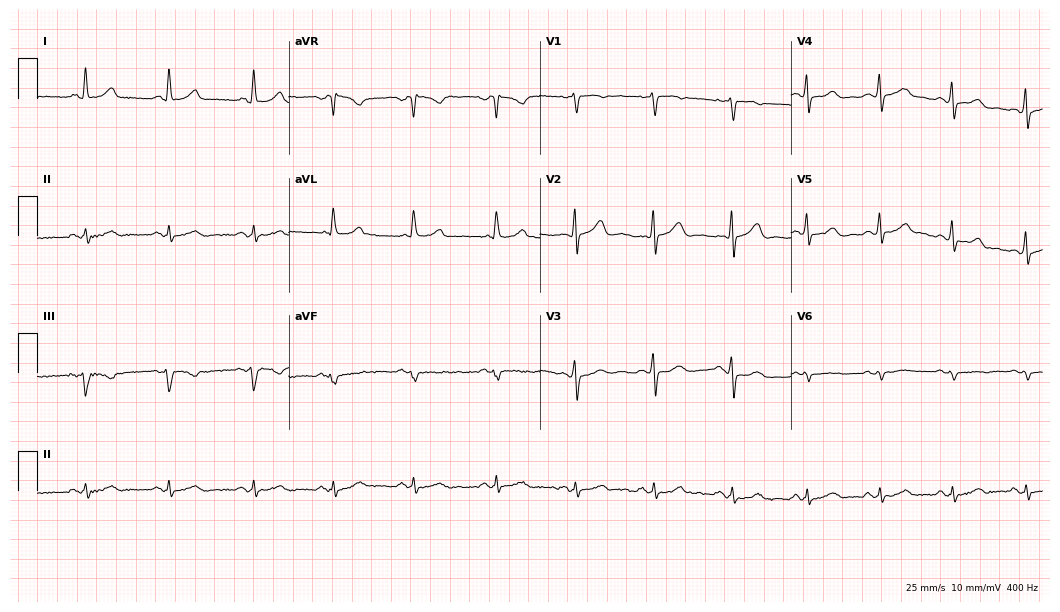
ECG (10.2-second recording at 400 Hz) — a 56-year-old female. Labelled as a normal ECG.